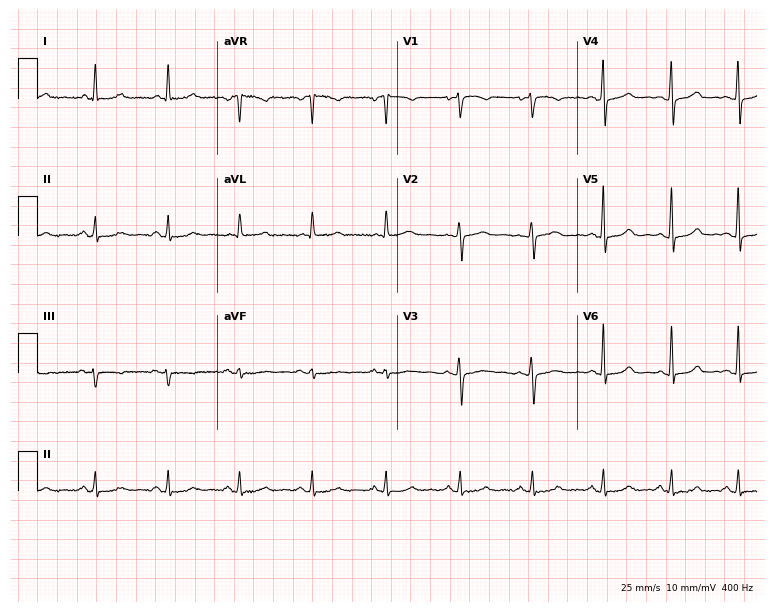
12-lead ECG (7.3-second recording at 400 Hz) from a 49-year-old woman. Screened for six findings — first-degree AV block, right bundle branch block, left bundle branch block, sinus bradycardia, atrial fibrillation, sinus tachycardia — none is recorded. Only these six findings were labelled.